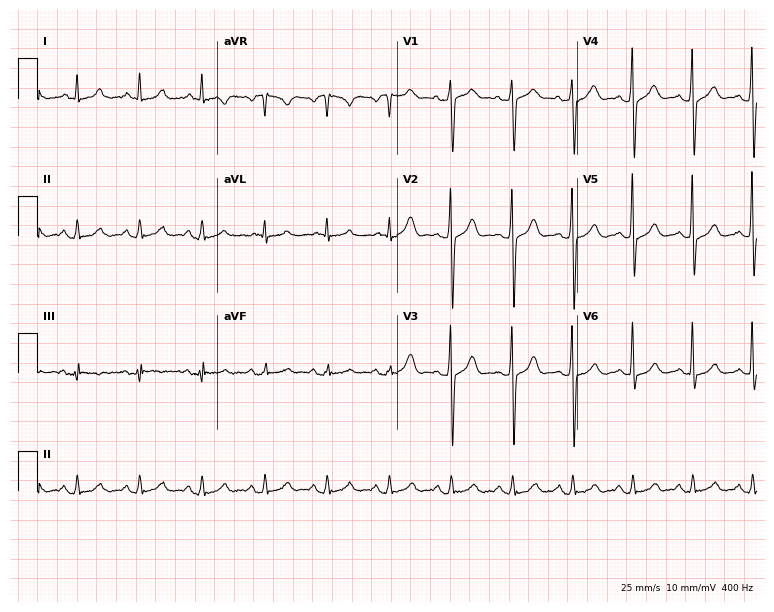
Electrocardiogram (7.3-second recording at 400 Hz), a 36-year-old male. Of the six screened findings (first-degree AV block, right bundle branch block, left bundle branch block, sinus bradycardia, atrial fibrillation, sinus tachycardia), none is recorded.